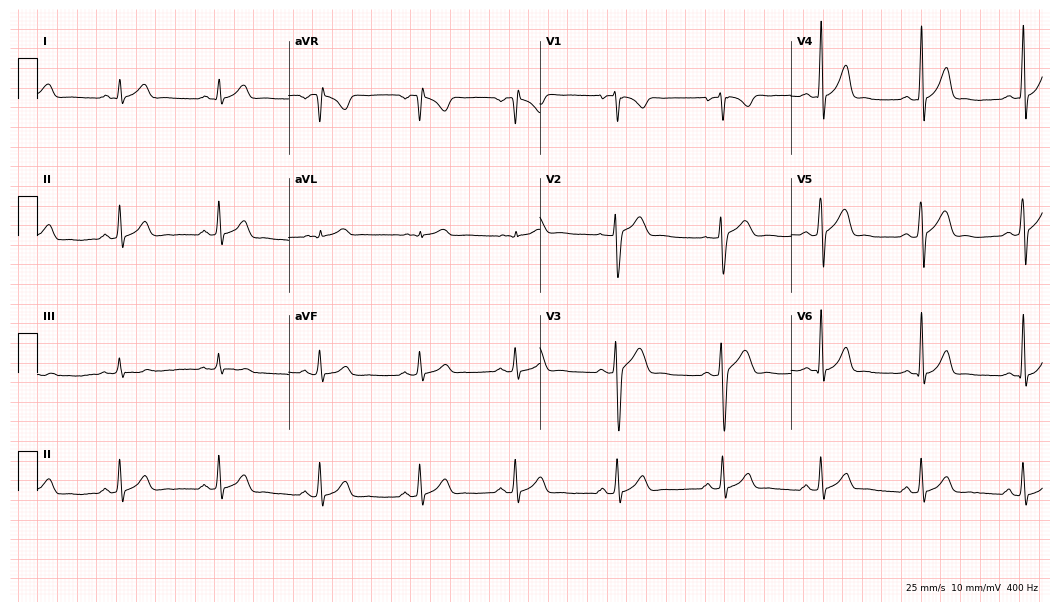
12-lead ECG (10.2-second recording at 400 Hz) from a 19-year-old man. Labelled as a normal ECG.